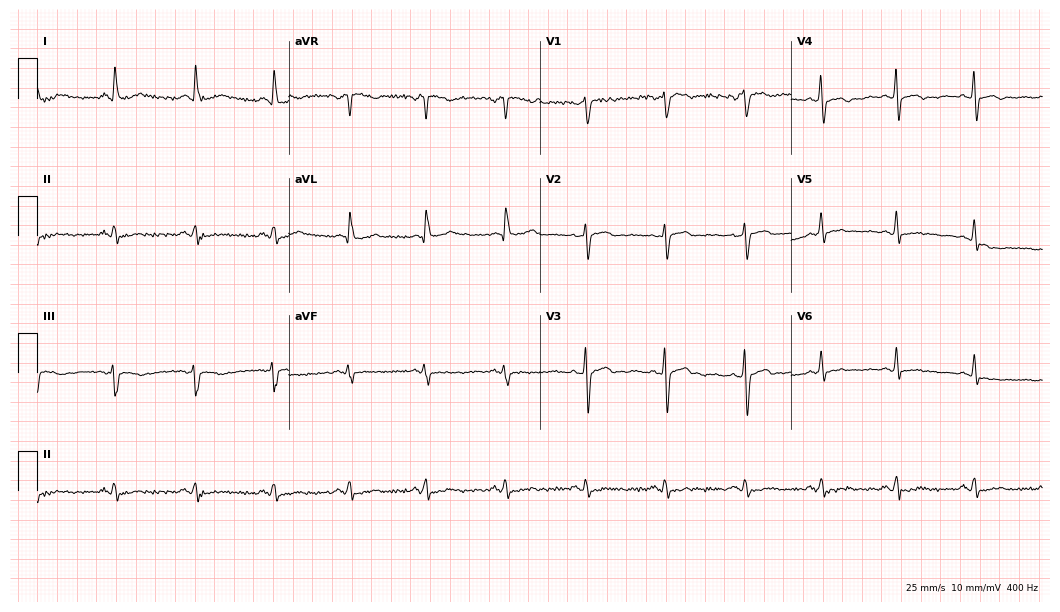
Resting 12-lead electrocardiogram (10.2-second recording at 400 Hz). Patient: a 64-year-old female. None of these six findings is recorded: first-degree AV block, right bundle branch block, left bundle branch block, sinus bradycardia, atrial fibrillation, sinus tachycardia.